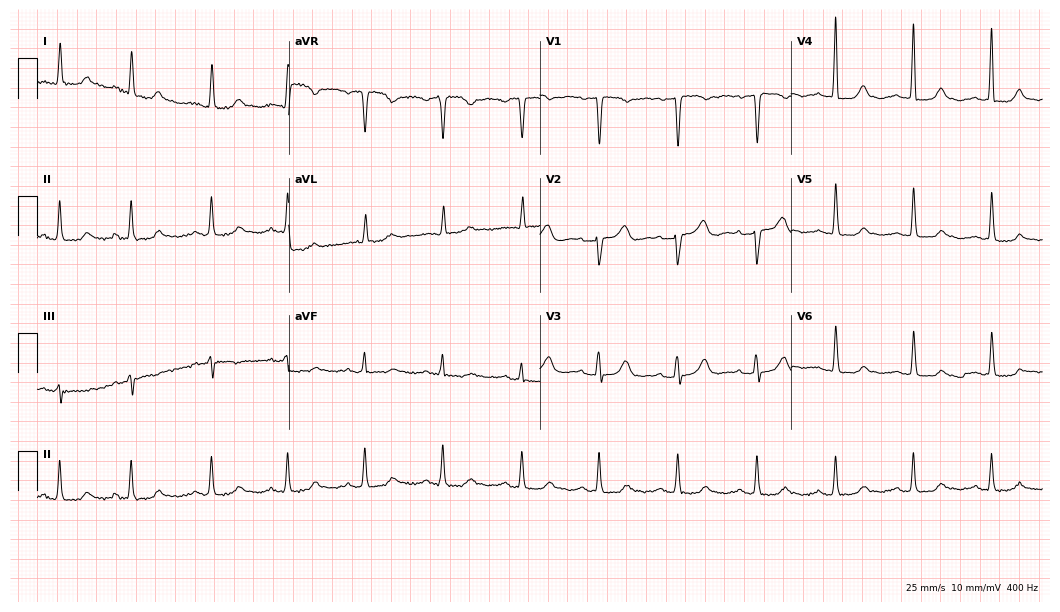
12-lead ECG from a 62-year-old woman (10.2-second recording at 400 Hz). Recorded interpretation: within normal limits.